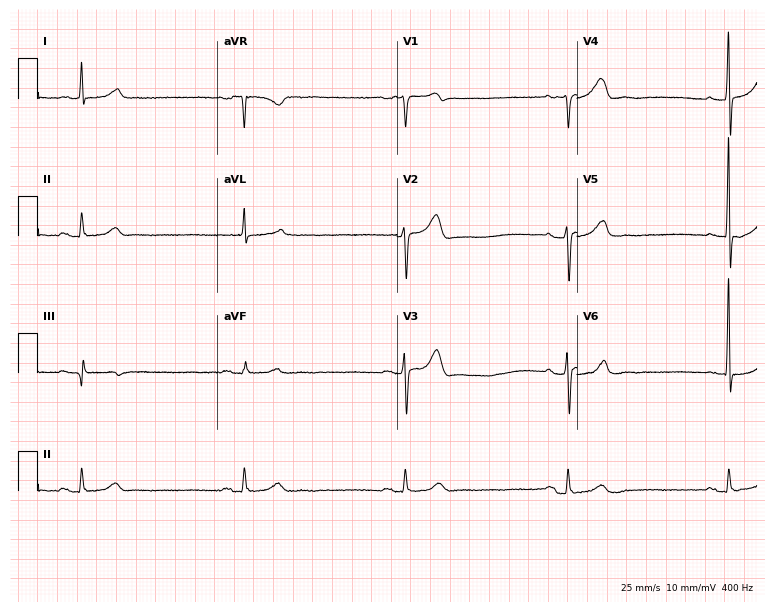
Resting 12-lead electrocardiogram. Patient: an 82-year-old male. The tracing shows sinus bradycardia (a sinus rate of 50 beats per minute or less).